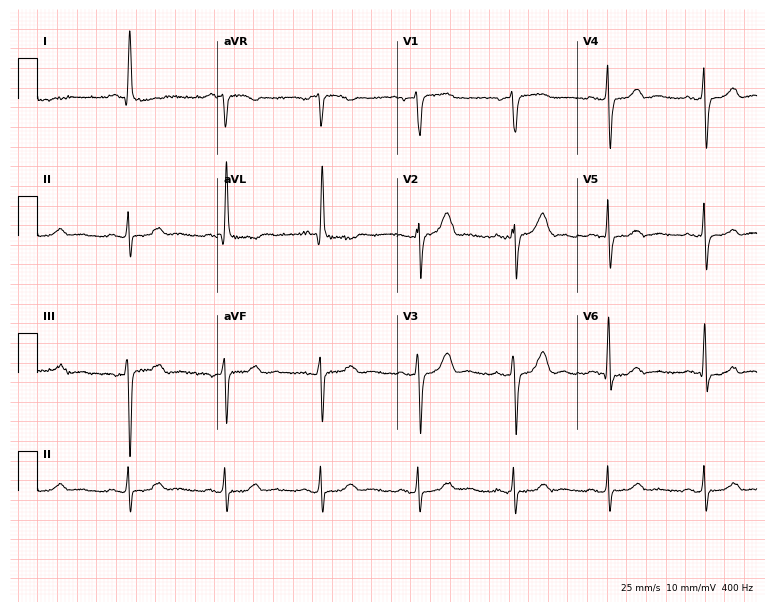
12-lead ECG from a 65-year-old woman. No first-degree AV block, right bundle branch block, left bundle branch block, sinus bradycardia, atrial fibrillation or sinus tachycardia recorded for this tracing. Findings outside these six are not listed.